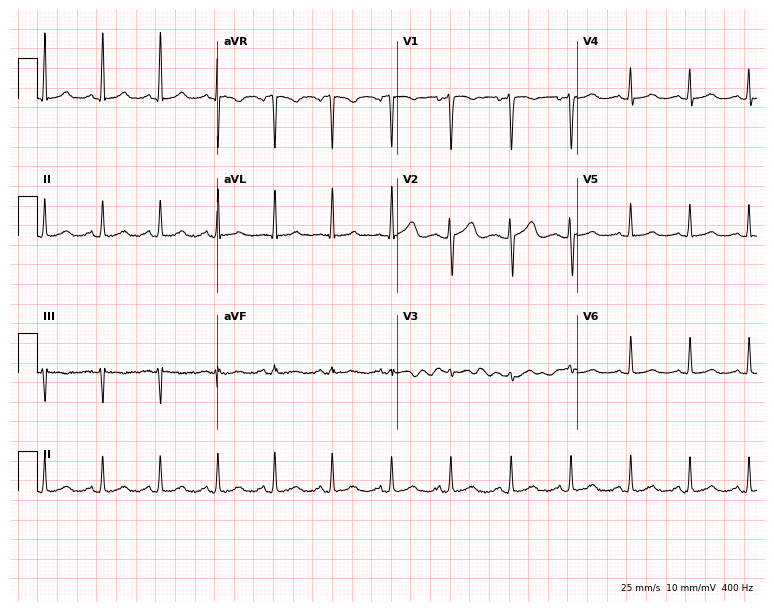
12-lead ECG (7.3-second recording at 400 Hz) from a female, 34 years old. Screened for six findings — first-degree AV block, right bundle branch block, left bundle branch block, sinus bradycardia, atrial fibrillation, sinus tachycardia — none is recorded.